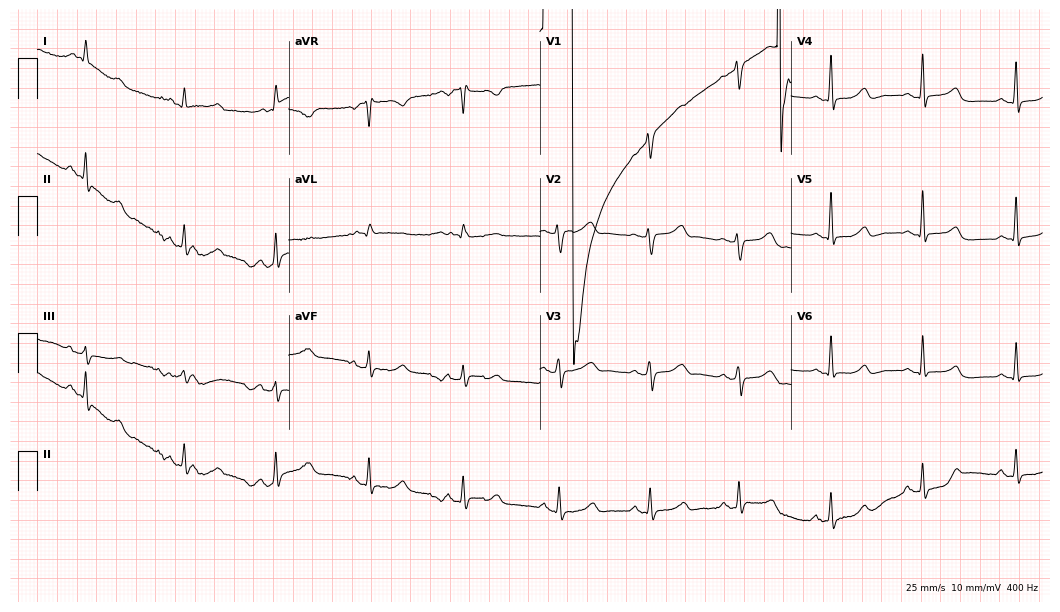
ECG (10.2-second recording at 400 Hz) — a 54-year-old woman. Screened for six findings — first-degree AV block, right bundle branch block (RBBB), left bundle branch block (LBBB), sinus bradycardia, atrial fibrillation (AF), sinus tachycardia — none is recorded. Findings outside these six are not listed.